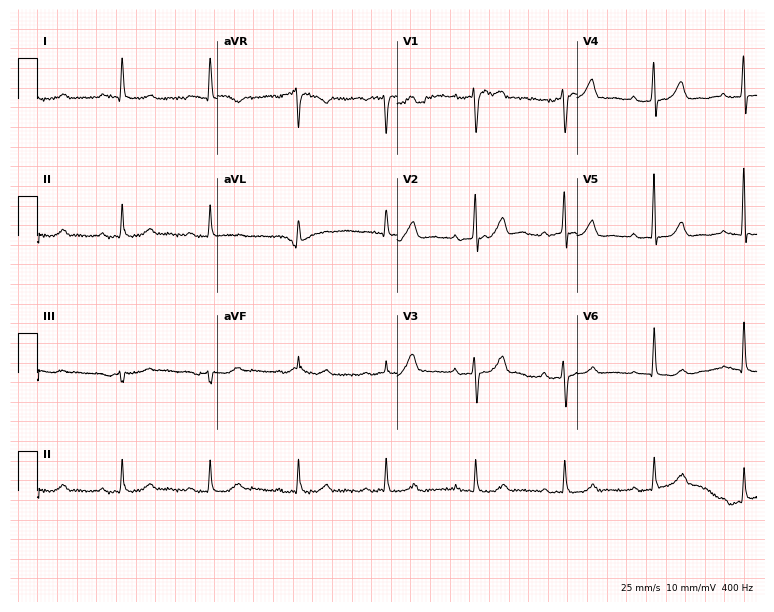
ECG — a male patient, 85 years old. Findings include first-degree AV block.